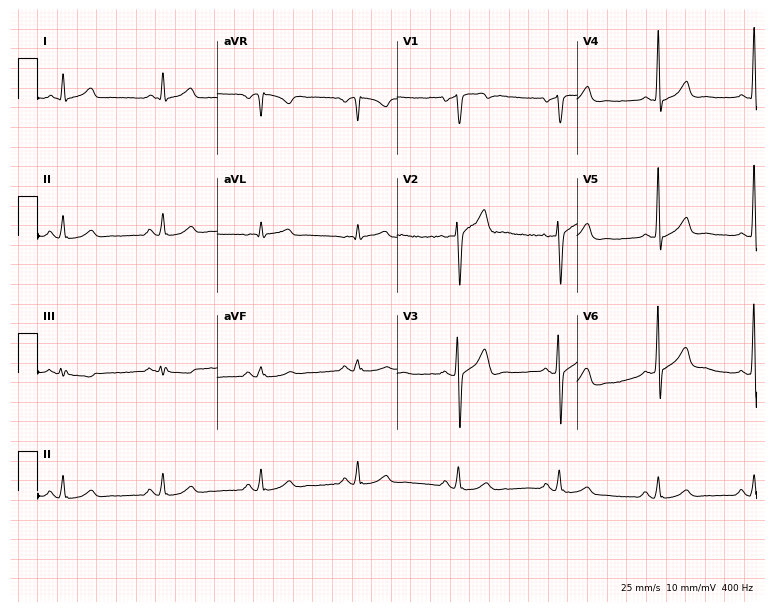
12-lead ECG from a male patient, 42 years old. Screened for six findings — first-degree AV block, right bundle branch block, left bundle branch block, sinus bradycardia, atrial fibrillation, sinus tachycardia — none is recorded.